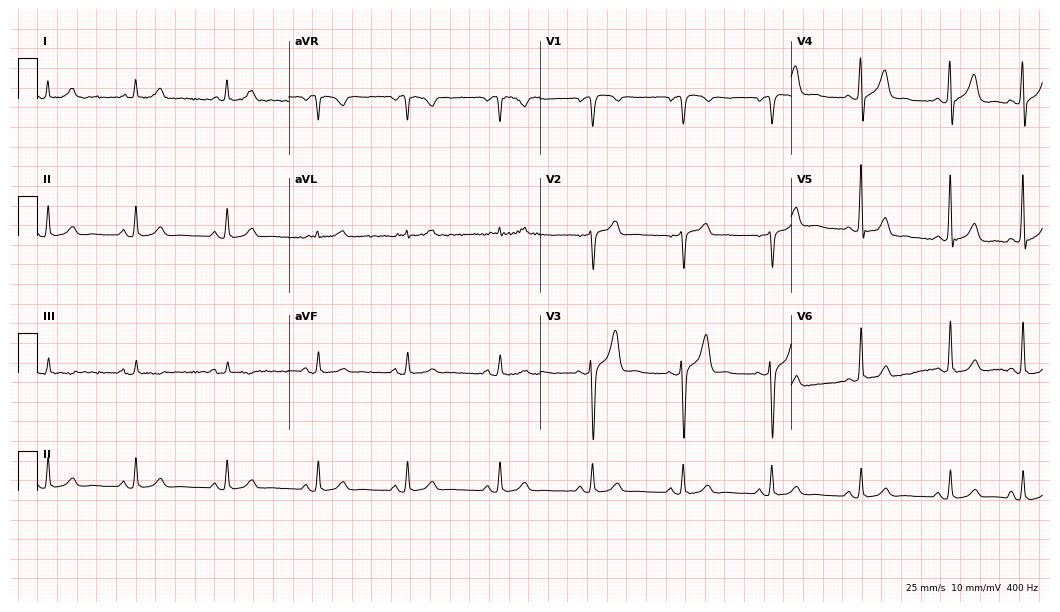
Electrocardiogram (10.2-second recording at 400 Hz), a man, 54 years old. Overall reading on record: normal ECG.